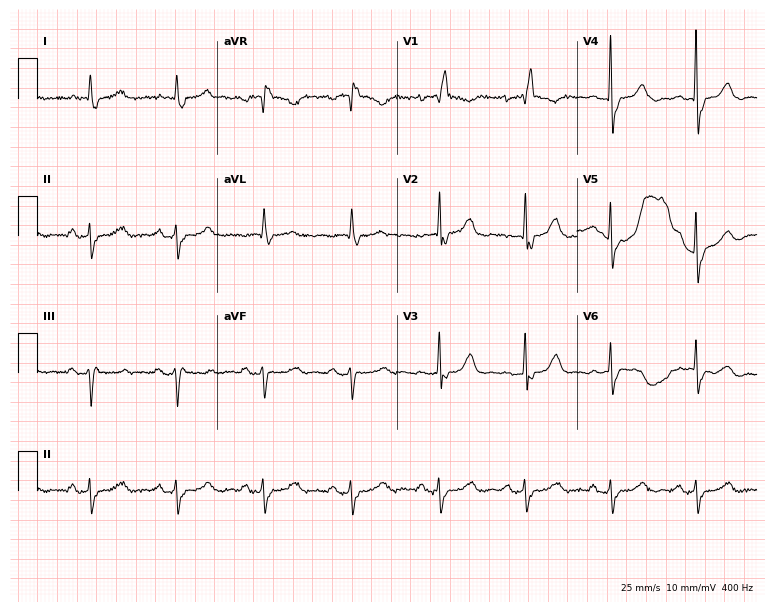
Standard 12-lead ECG recorded from a female, 85 years old (7.3-second recording at 400 Hz). The tracing shows right bundle branch block (RBBB).